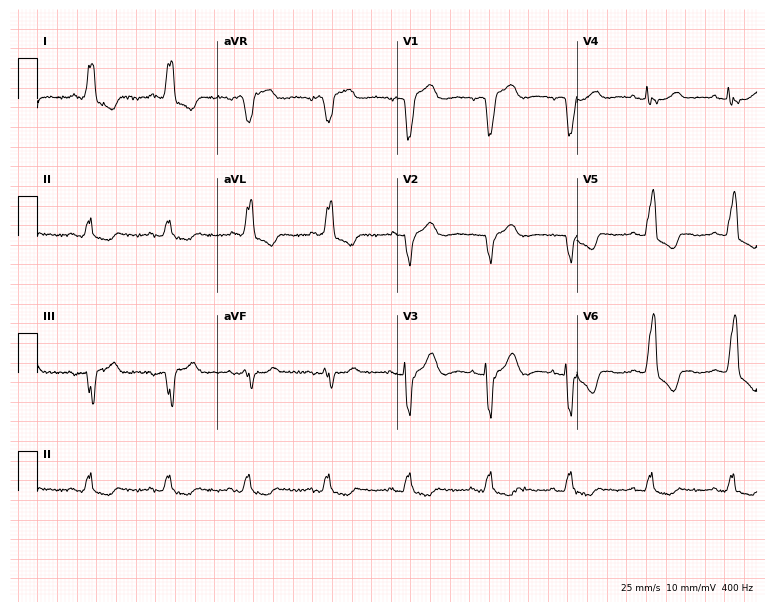
12-lead ECG from a female patient, 75 years old. Findings include left bundle branch block (LBBB).